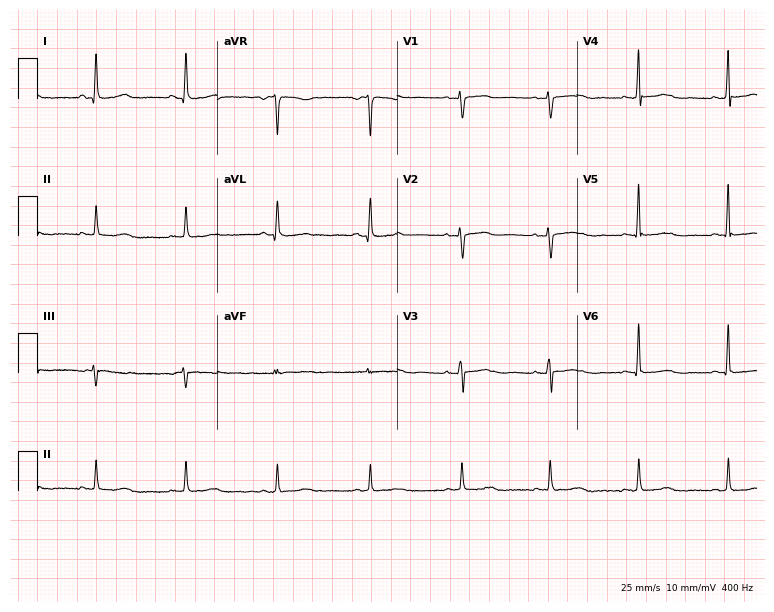
ECG (7.3-second recording at 400 Hz) — a female, 53 years old. Screened for six findings — first-degree AV block, right bundle branch block, left bundle branch block, sinus bradycardia, atrial fibrillation, sinus tachycardia — none is recorded. Findings outside these six are not listed.